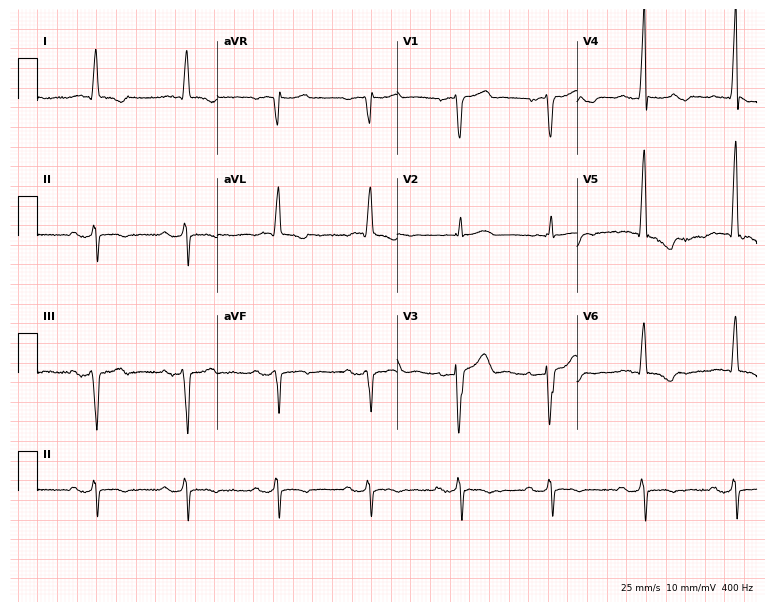
Resting 12-lead electrocardiogram. Patient: a male, 78 years old. None of these six findings is recorded: first-degree AV block, right bundle branch block, left bundle branch block, sinus bradycardia, atrial fibrillation, sinus tachycardia. Findings outside these six are not listed.